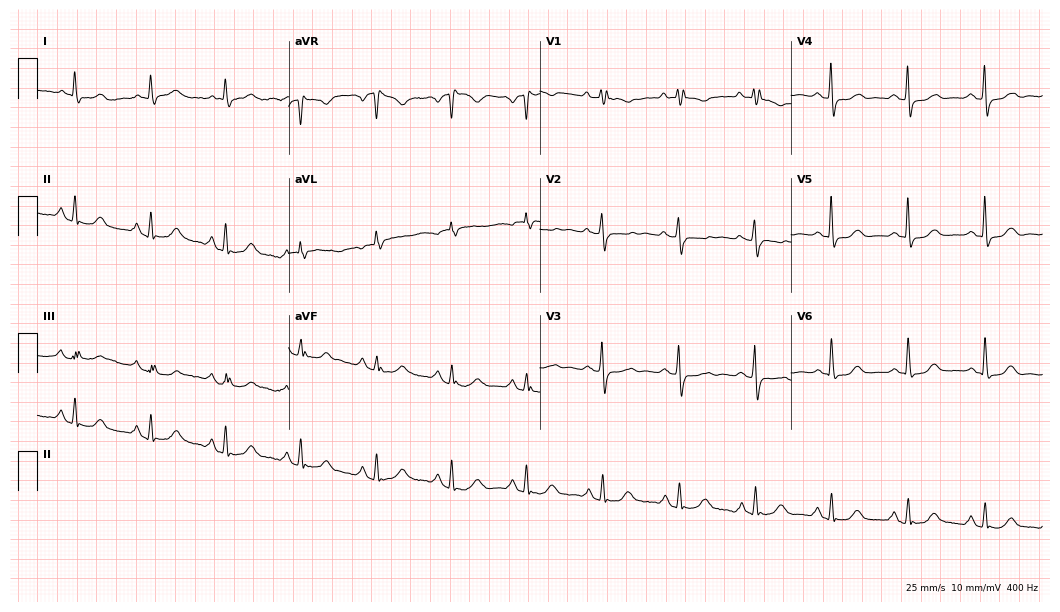
Resting 12-lead electrocardiogram (10.2-second recording at 400 Hz). Patient: an 84-year-old woman. None of these six findings is recorded: first-degree AV block, right bundle branch block, left bundle branch block, sinus bradycardia, atrial fibrillation, sinus tachycardia.